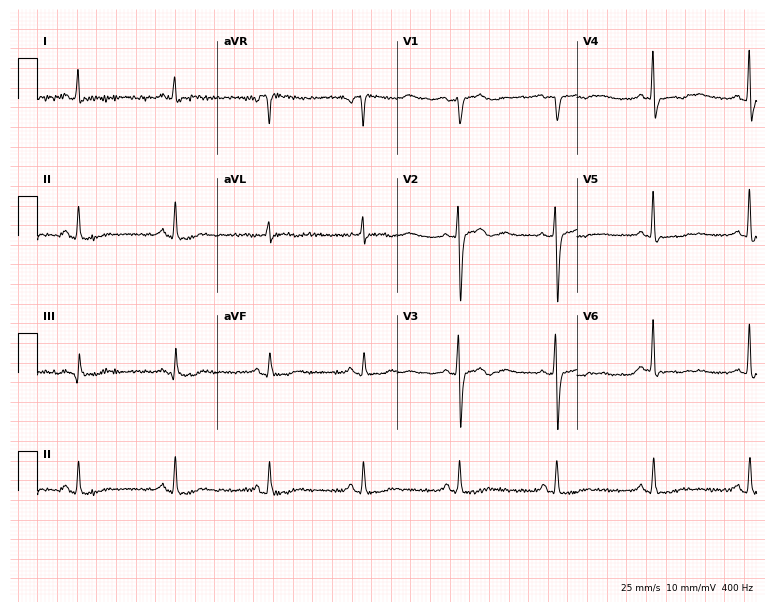
12-lead ECG (7.3-second recording at 400 Hz) from a female, 56 years old. Screened for six findings — first-degree AV block, right bundle branch block, left bundle branch block, sinus bradycardia, atrial fibrillation, sinus tachycardia — none is recorded.